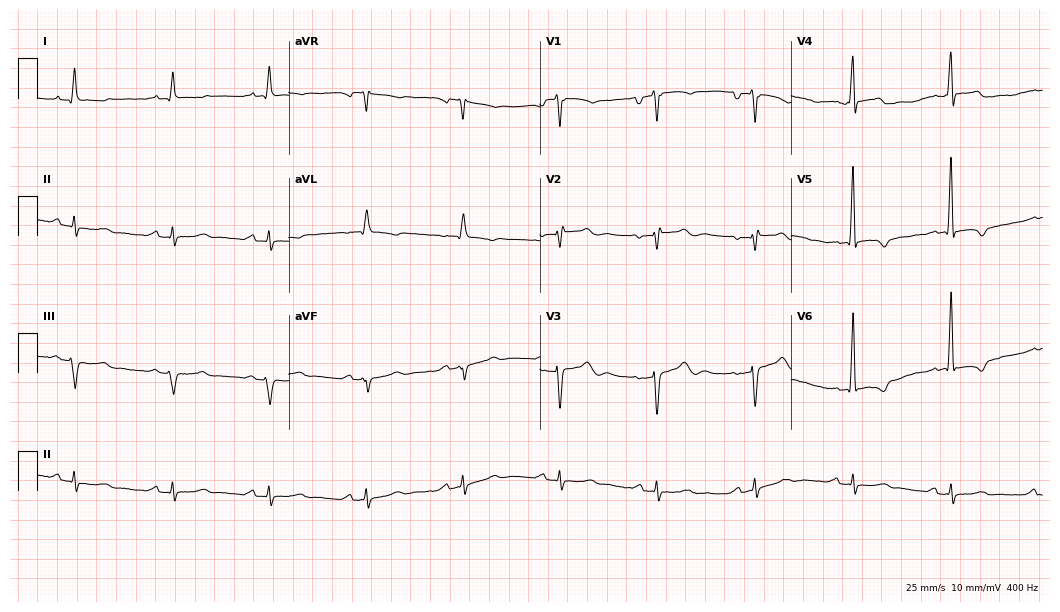
12-lead ECG from a 53-year-old male. No first-degree AV block, right bundle branch block, left bundle branch block, sinus bradycardia, atrial fibrillation or sinus tachycardia recorded for this tracing.